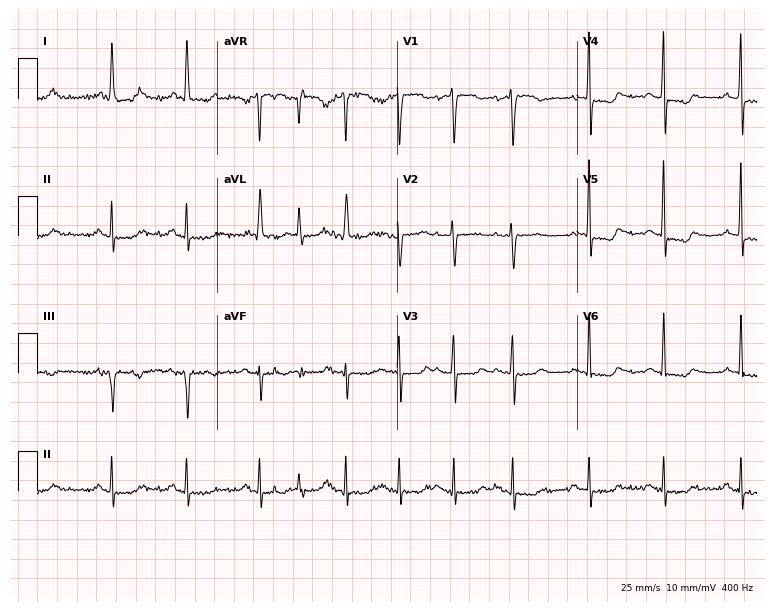
ECG (7.3-second recording at 400 Hz) — a 66-year-old female. Screened for six findings — first-degree AV block, right bundle branch block (RBBB), left bundle branch block (LBBB), sinus bradycardia, atrial fibrillation (AF), sinus tachycardia — none is recorded.